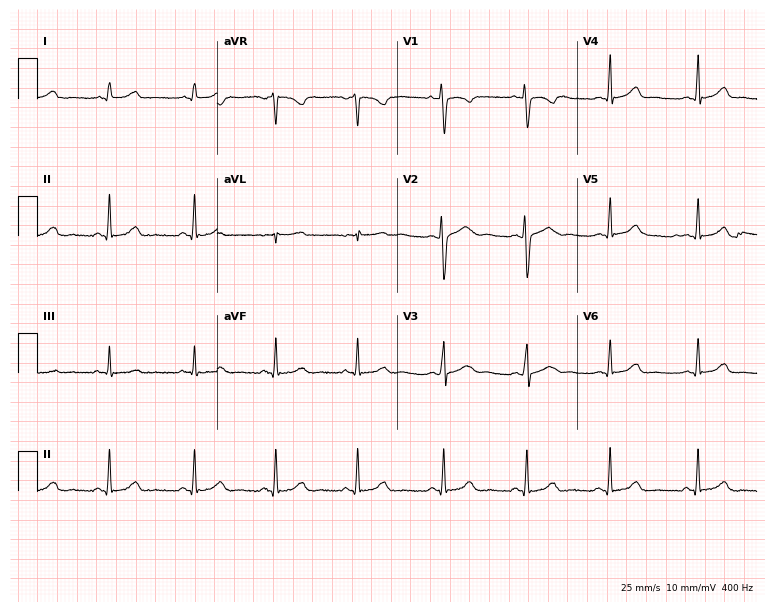
Resting 12-lead electrocardiogram. Patient: a female, 21 years old. None of these six findings is recorded: first-degree AV block, right bundle branch block, left bundle branch block, sinus bradycardia, atrial fibrillation, sinus tachycardia. Only these six findings were labelled.